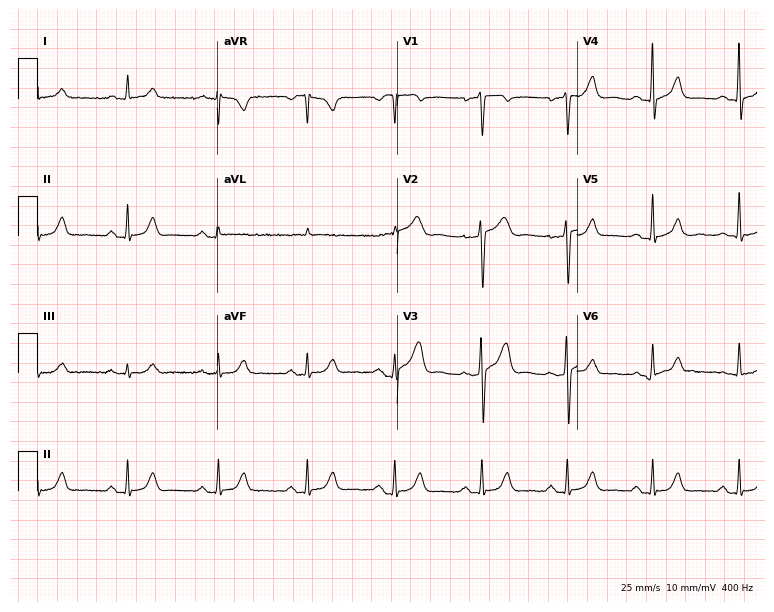
Standard 12-lead ECG recorded from a 54-year-old man. Read as a normal ECG.